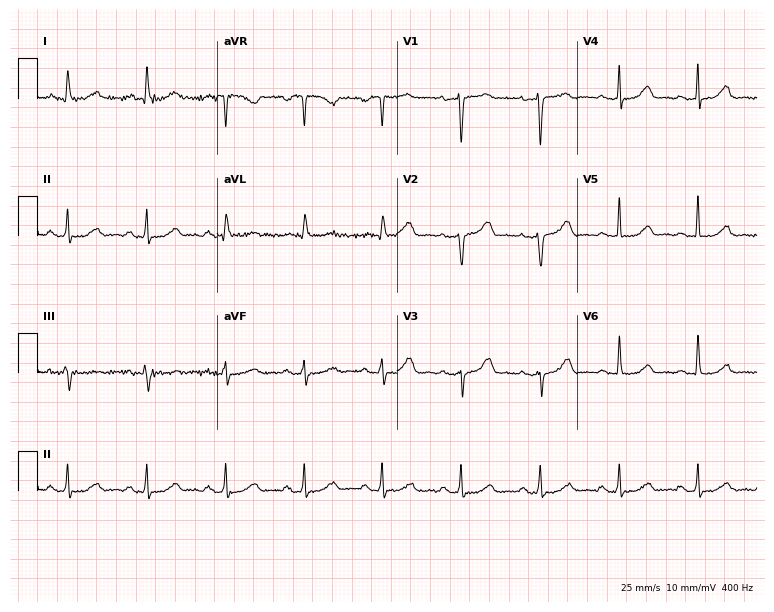
ECG (7.3-second recording at 400 Hz) — a female, 58 years old. Screened for six findings — first-degree AV block, right bundle branch block (RBBB), left bundle branch block (LBBB), sinus bradycardia, atrial fibrillation (AF), sinus tachycardia — none is recorded. Findings outside these six are not listed.